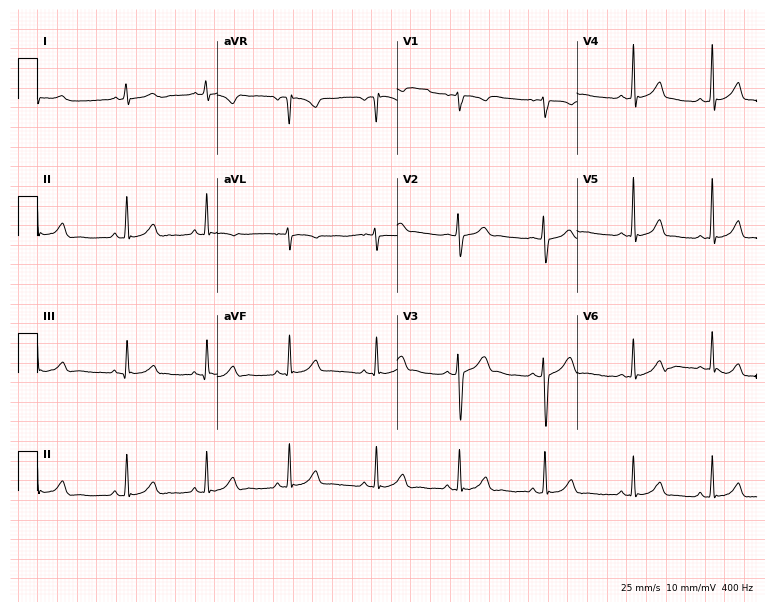
ECG — a 22-year-old female patient. Screened for six findings — first-degree AV block, right bundle branch block, left bundle branch block, sinus bradycardia, atrial fibrillation, sinus tachycardia — none is recorded. Other findings, if any, are not listed.